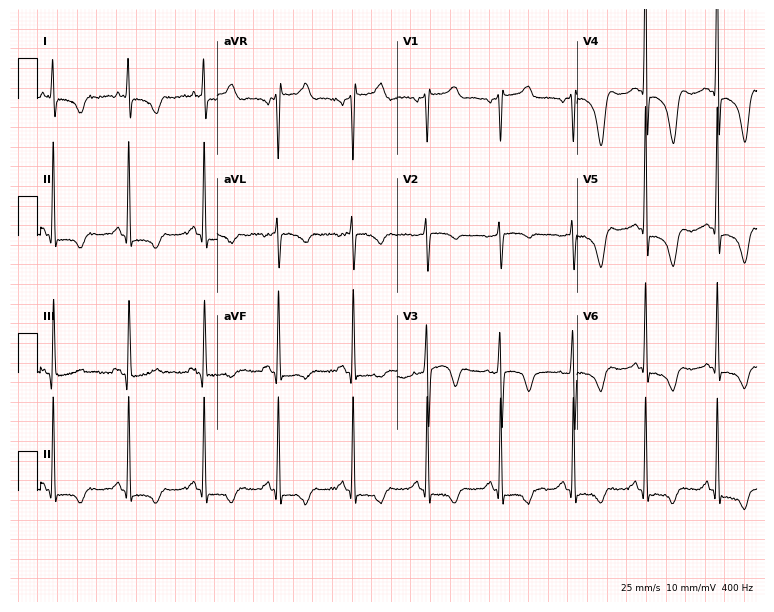
12-lead ECG from a 62-year-old male patient. Screened for six findings — first-degree AV block, right bundle branch block, left bundle branch block, sinus bradycardia, atrial fibrillation, sinus tachycardia — none is recorded. Only these six findings were labelled.